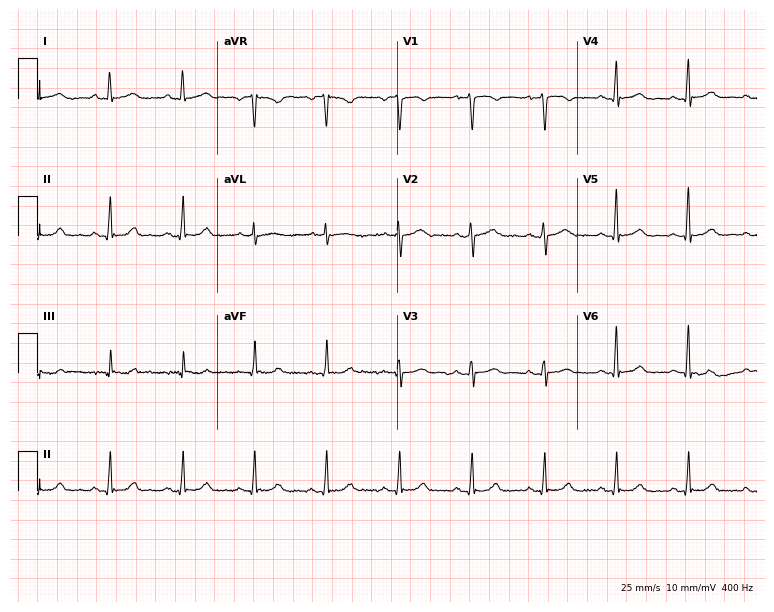
ECG (7.3-second recording at 400 Hz) — a female, 50 years old. Labelled as a normal ECG.